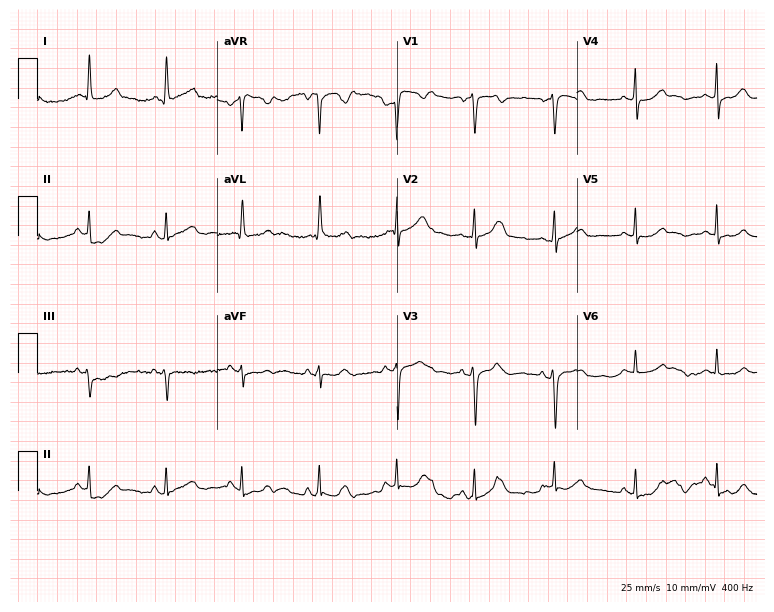
Resting 12-lead electrocardiogram. Patient: a female, 66 years old. Read as a normal ECG.